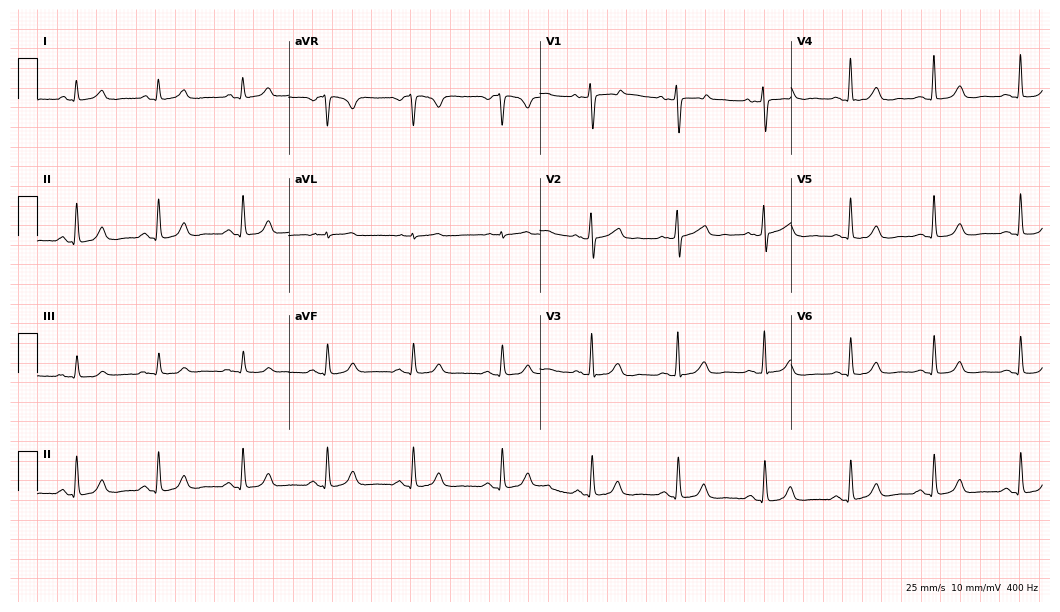
Electrocardiogram, a female patient, 41 years old. Of the six screened findings (first-degree AV block, right bundle branch block, left bundle branch block, sinus bradycardia, atrial fibrillation, sinus tachycardia), none is recorded.